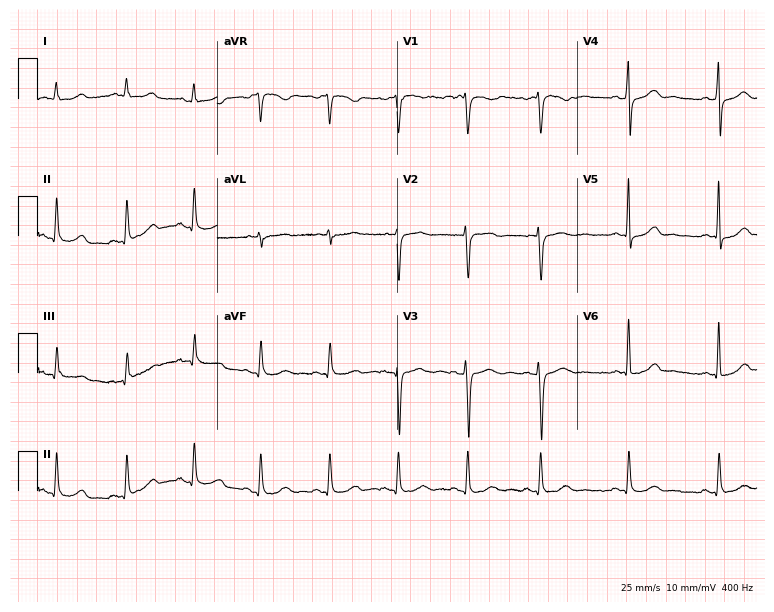
ECG — a 45-year-old female patient. Labelled as a normal ECG.